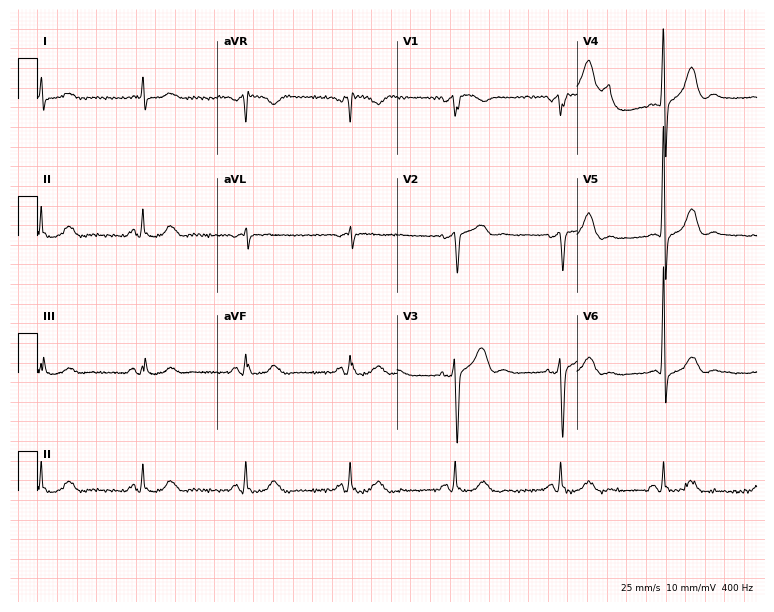
Resting 12-lead electrocardiogram (7.3-second recording at 400 Hz). Patient: a man, 81 years old. Read as a normal ECG.